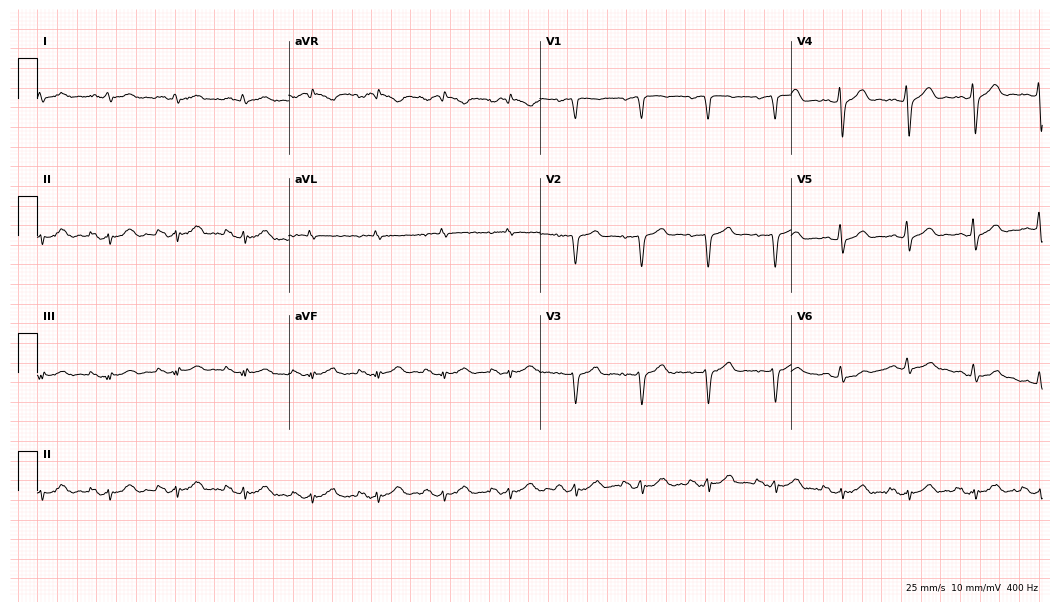
Resting 12-lead electrocardiogram (10.2-second recording at 400 Hz). Patient: a 57-year-old male. Read as a normal ECG.